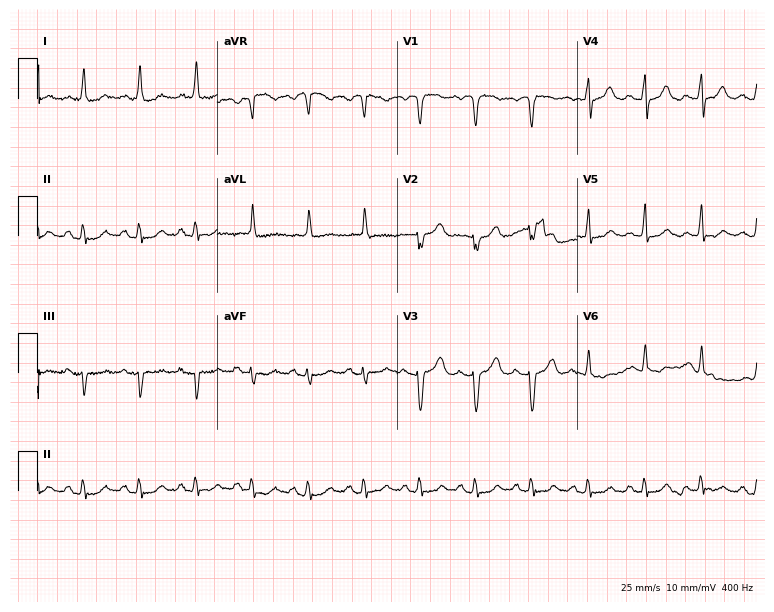
Standard 12-lead ECG recorded from a woman, 85 years old. None of these six findings is recorded: first-degree AV block, right bundle branch block, left bundle branch block, sinus bradycardia, atrial fibrillation, sinus tachycardia. Other findings, if any, are not listed.